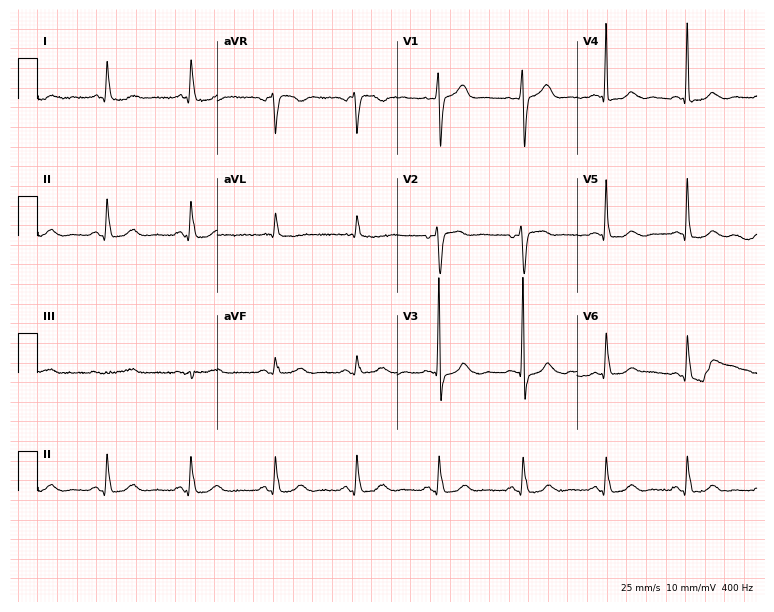
12-lead ECG from a female, 68 years old. Screened for six findings — first-degree AV block, right bundle branch block (RBBB), left bundle branch block (LBBB), sinus bradycardia, atrial fibrillation (AF), sinus tachycardia — none is recorded.